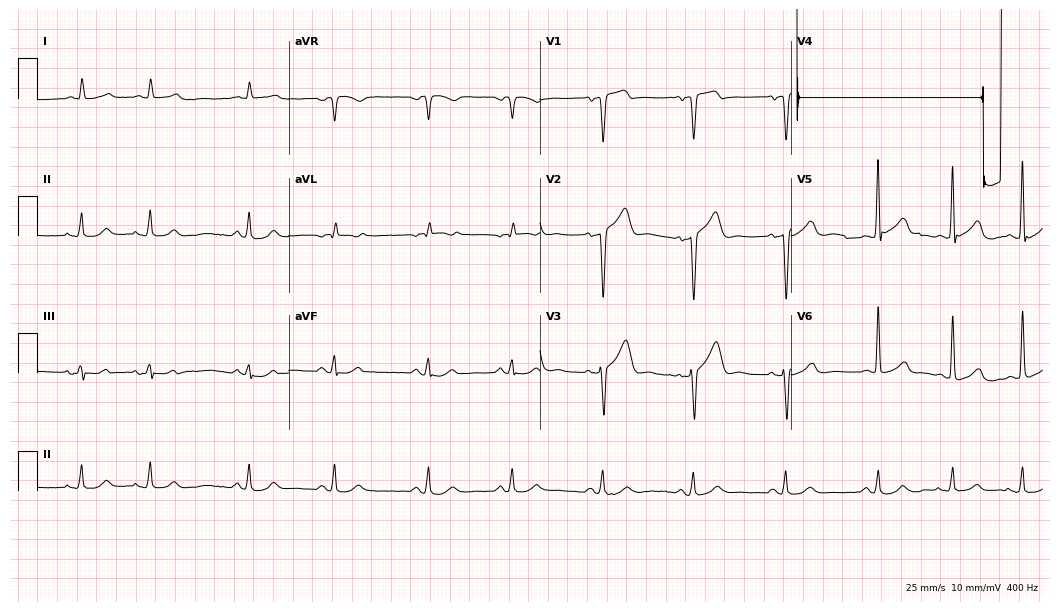
12-lead ECG from a 70-year-old man. Screened for six findings — first-degree AV block, right bundle branch block, left bundle branch block, sinus bradycardia, atrial fibrillation, sinus tachycardia — none is recorded. Findings outside these six are not listed.